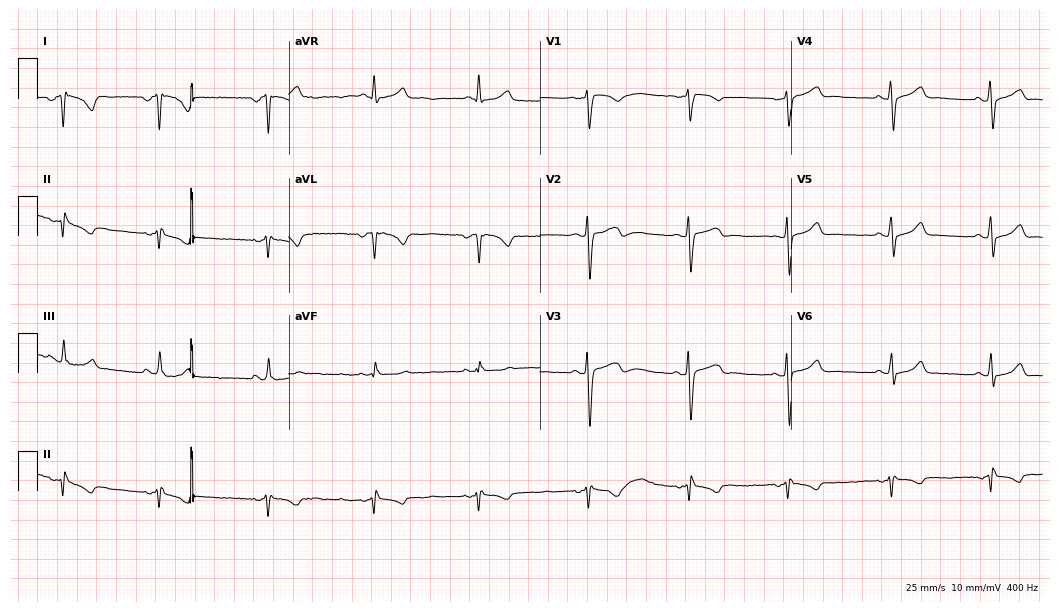
Electrocardiogram (10.2-second recording at 400 Hz), a female, 36 years old. Of the six screened findings (first-degree AV block, right bundle branch block (RBBB), left bundle branch block (LBBB), sinus bradycardia, atrial fibrillation (AF), sinus tachycardia), none is recorded. Findings outside these six are not listed.